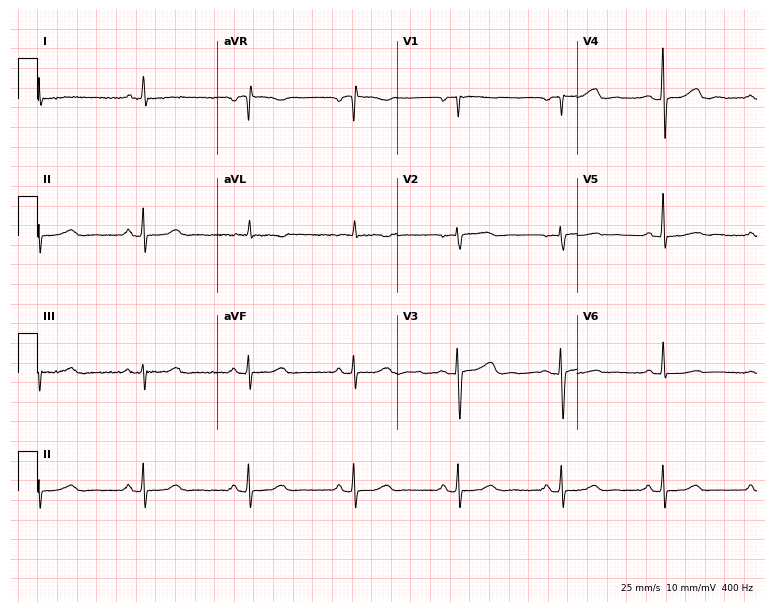
Resting 12-lead electrocardiogram (7.3-second recording at 400 Hz). Patient: a 59-year-old woman. None of these six findings is recorded: first-degree AV block, right bundle branch block (RBBB), left bundle branch block (LBBB), sinus bradycardia, atrial fibrillation (AF), sinus tachycardia. Only these six findings were labelled.